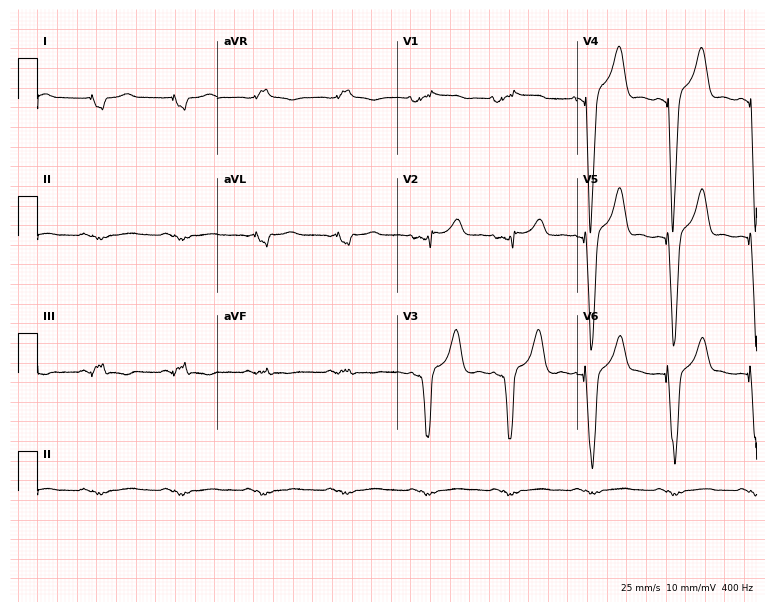
Resting 12-lead electrocardiogram (7.3-second recording at 400 Hz). Patient: a female, 74 years old. None of these six findings is recorded: first-degree AV block, right bundle branch block, left bundle branch block, sinus bradycardia, atrial fibrillation, sinus tachycardia. Findings outside these six are not listed.